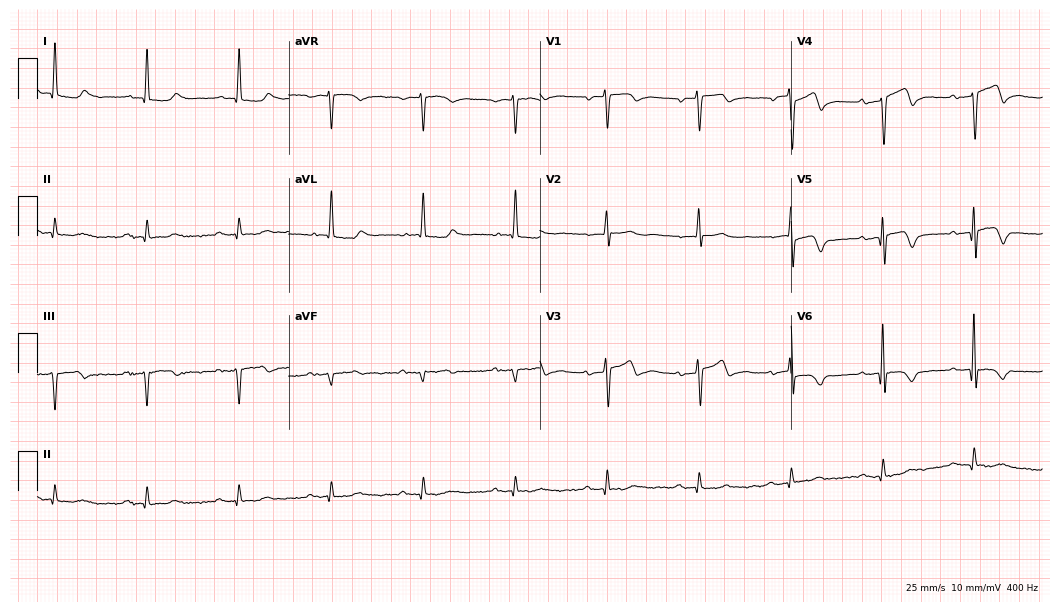
Standard 12-lead ECG recorded from a male, 80 years old (10.2-second recording at 400 Hz). None of these six findings is recorded: first-degree AV block, right bundle branch block, left bundle branch block, sinus bradycardia, atrial fibrillation, sinus tachycardia. Other findings, if any, are not listed.